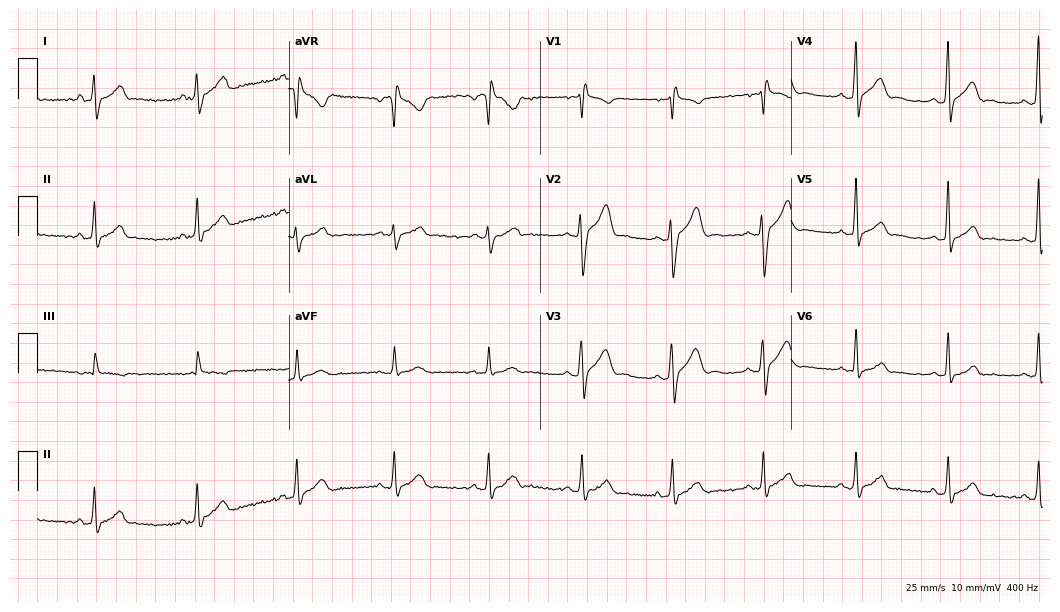
12-lead ECG from a male, 25 years old. Screened for six findings — first-degree AV block, right bundle branch block (RBBB), left bundle branch block (LBBB), sinus bradycardia, atrial fibrillation (AF), sinus tachycardia — none is recorded. Other findings, if any, are not listed.